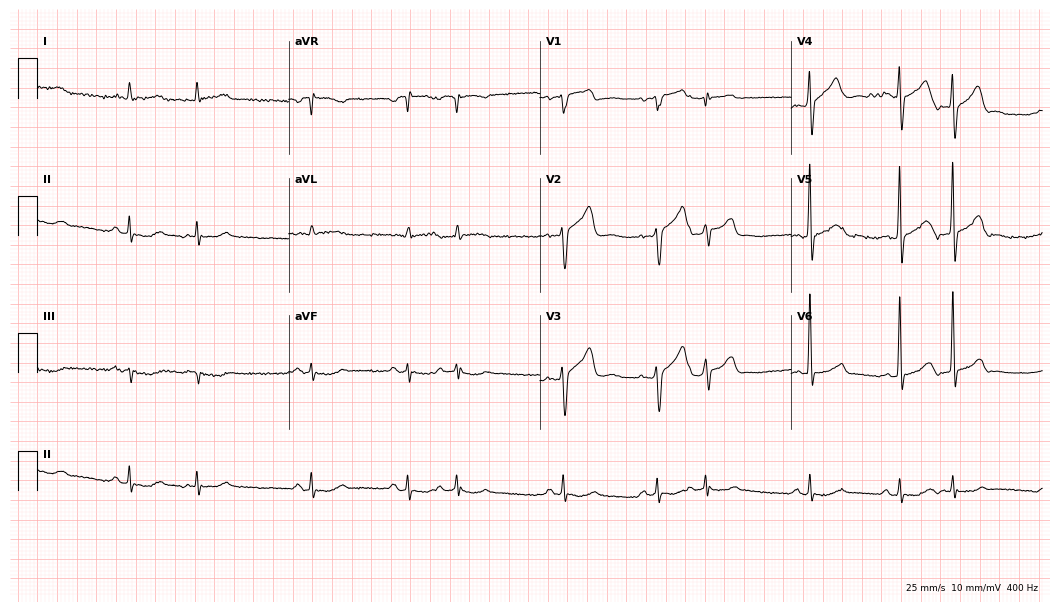
12-lead ECG from a 78-year-old man. Screened for six findings — first-degree AV block, right bundle branch block (RBBB), left bundle branch block (LBBB), sinus bradycardia, atrial fibrillation (AF), sinus tachycardia — none is recorded. Only these six findings were labelled.